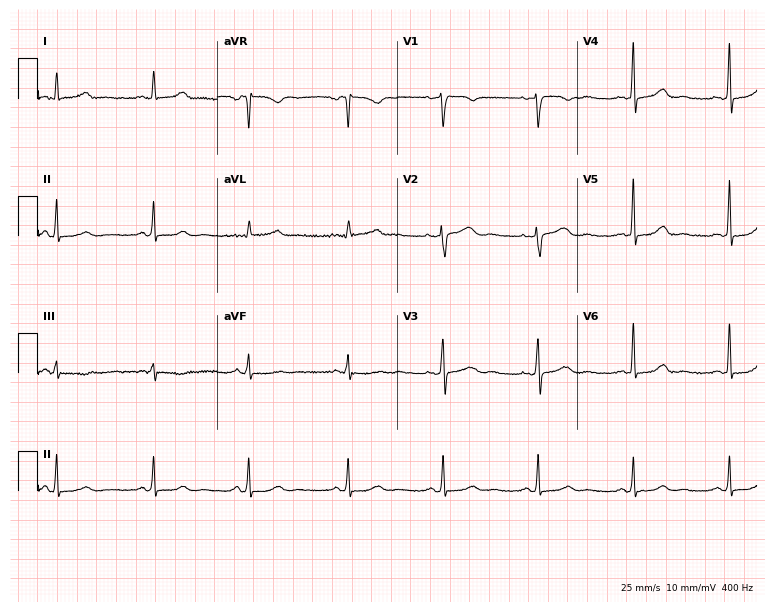
Standard 12-lead ECG recorded from a woman, 51 years old. Read as a normal ECG.